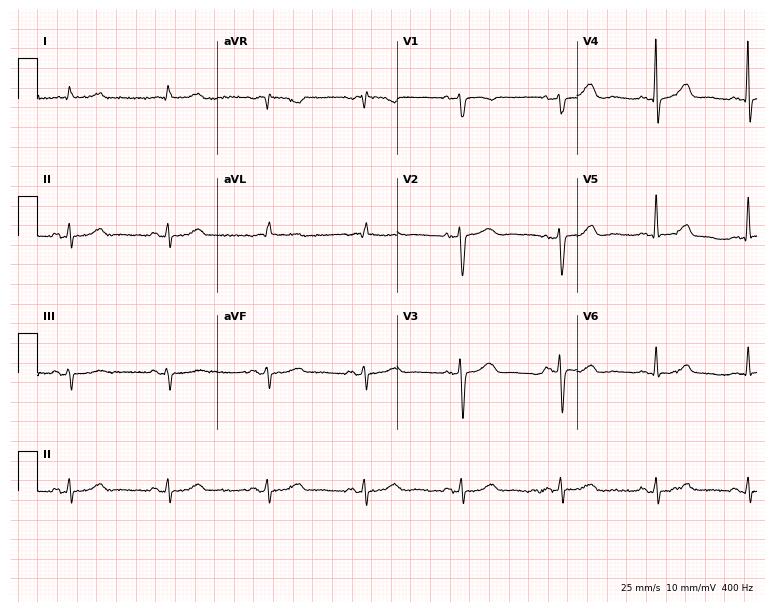
ECG (7.3-second recording at 400 Hz) — an 83-year-old female patient. Labelled as a normal ECG.